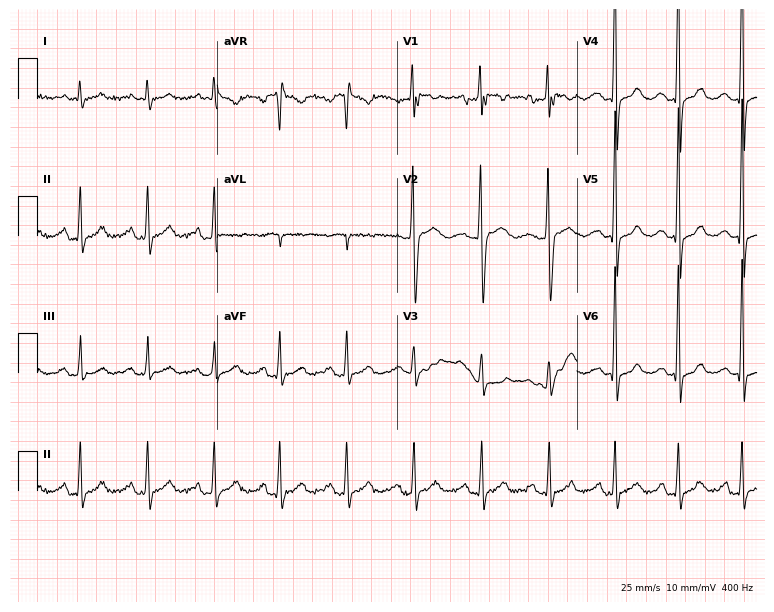
Resting 12-lead electrocardiogram. Patient: a 25-year-old man. Read as a normal ECG.